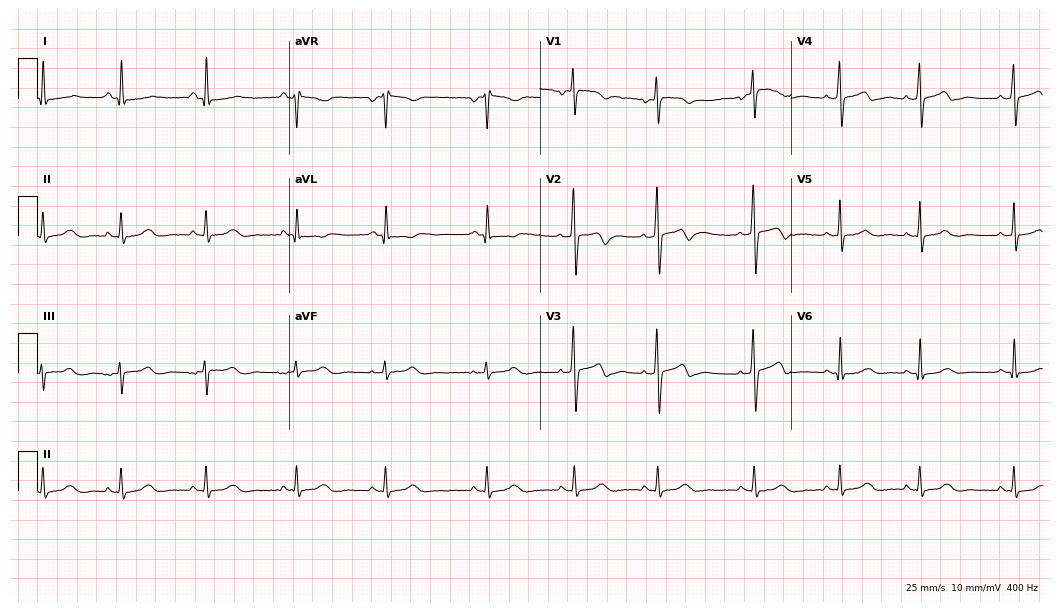
12-lead ECG (10.2-second recording at 400 Hz) from a 36-year-old female. Labelled as a normal ECG.